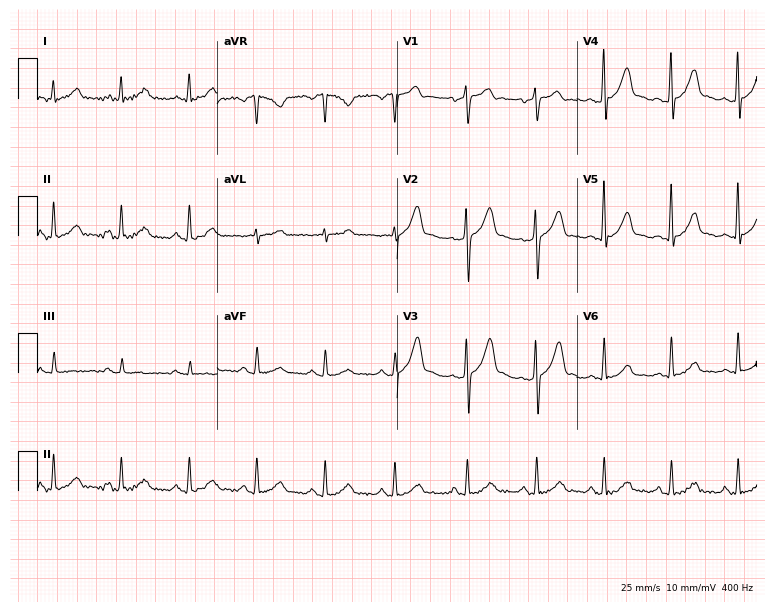
12-lead ECG (7.3-second recording at 400 Hz) from a 39-year-old male patient. Screened for six findings — first-degree AV block, right bundle branch block, left bundle branch block, sinus bradycardia, atrial fibrillation, sinus tachycardia — none is recorded.